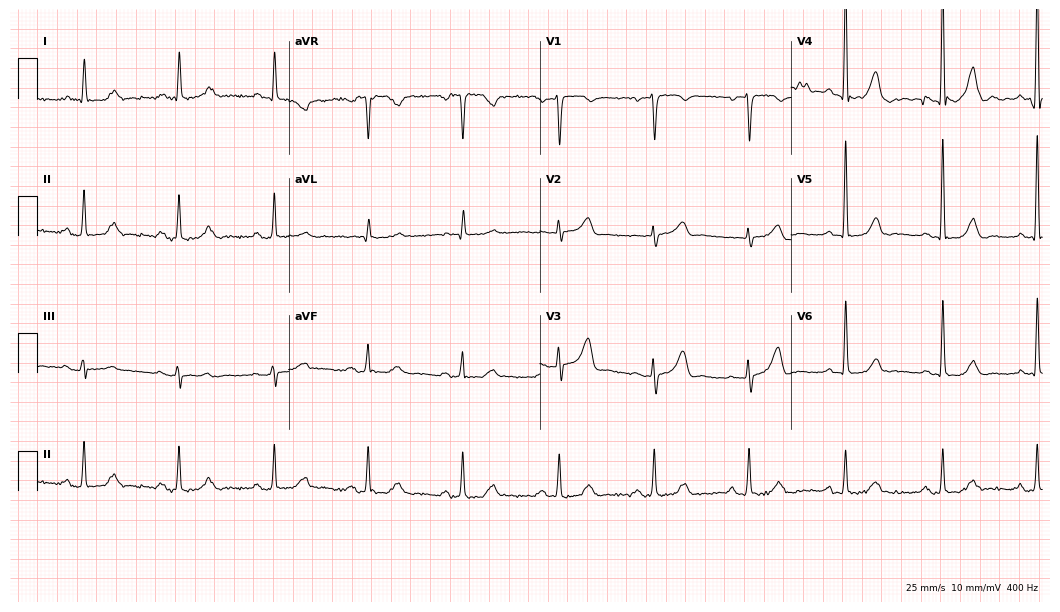
Standard 12-lead ECG recorded from a 70-year-old woman. None of these six findings is recorded: first-degree AV block, right bundle branch block, left bundle branch block, sinus bradycardia, atrial fibrillation, sinus tachycardia.